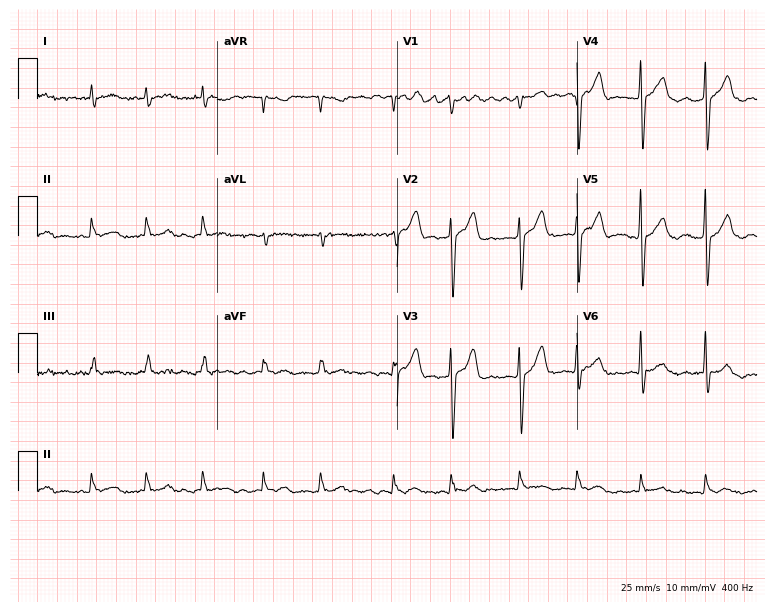
Electrocardiogram, a 61-year-old male patient. Interpretation includes atrial fibrillation.